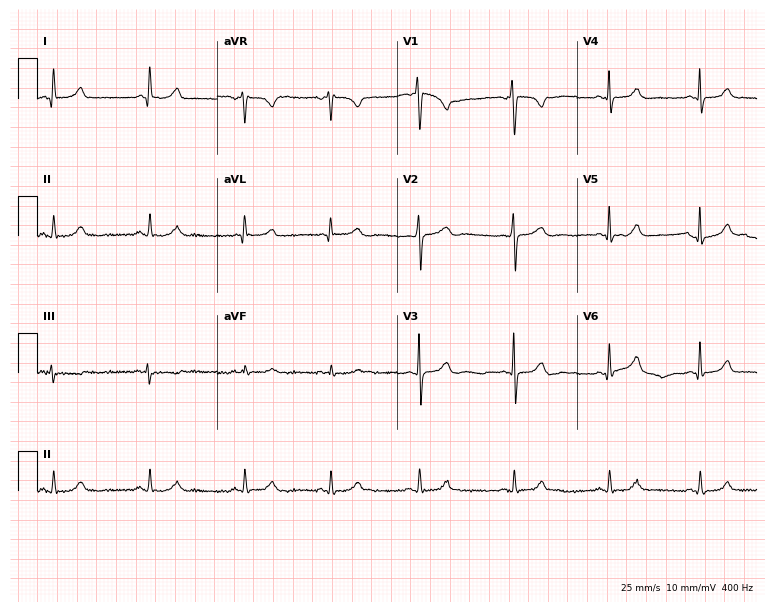
12-lead ECG from a woman, 27 years old. Labelled as a normal ECG.